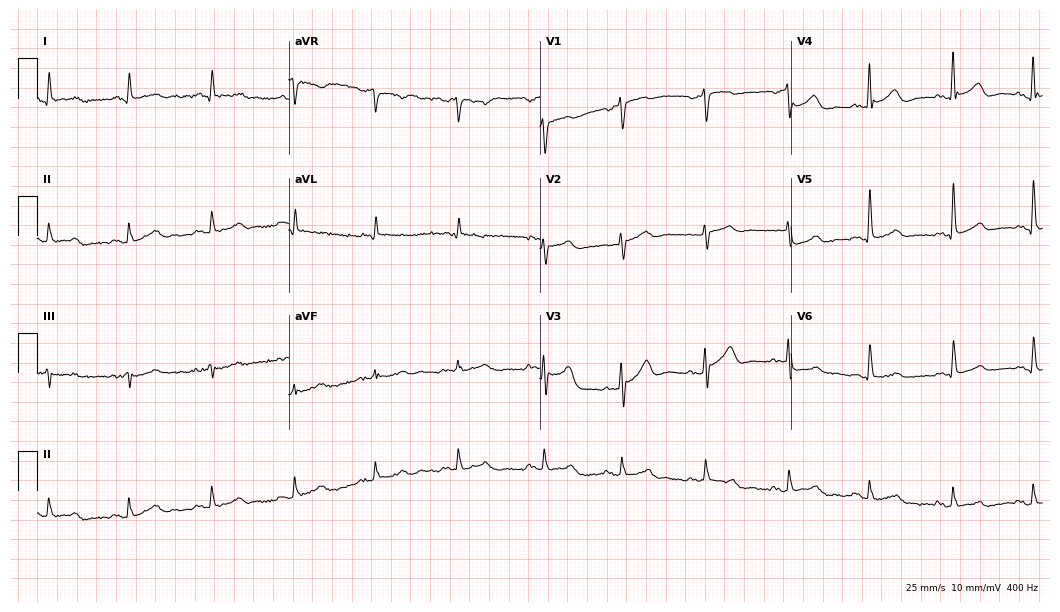
ECG (10.2-second recording at 400 Hz) — a 78-year-old man. Labelled as a normal ECG.